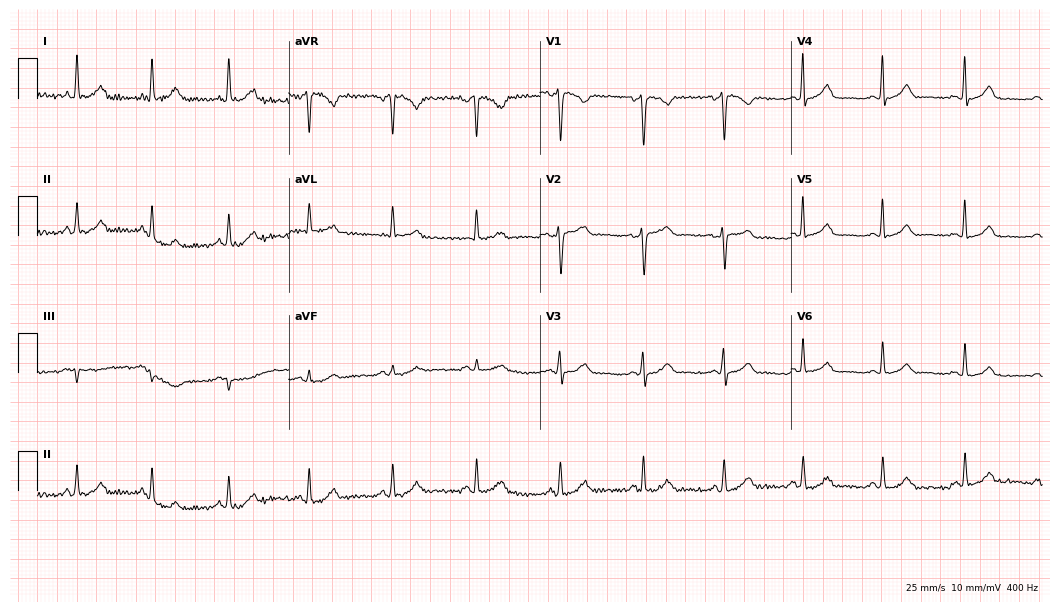
Standard 12-lead ECG recorded from a 42-year-old woman. None of these six findings is recorded: first-degree AV block, right bundle branch block, left bundle branch block, sinus bradycardia, atrial fibrillation, sinus tachycardia. Other findings, if any, are not listed.